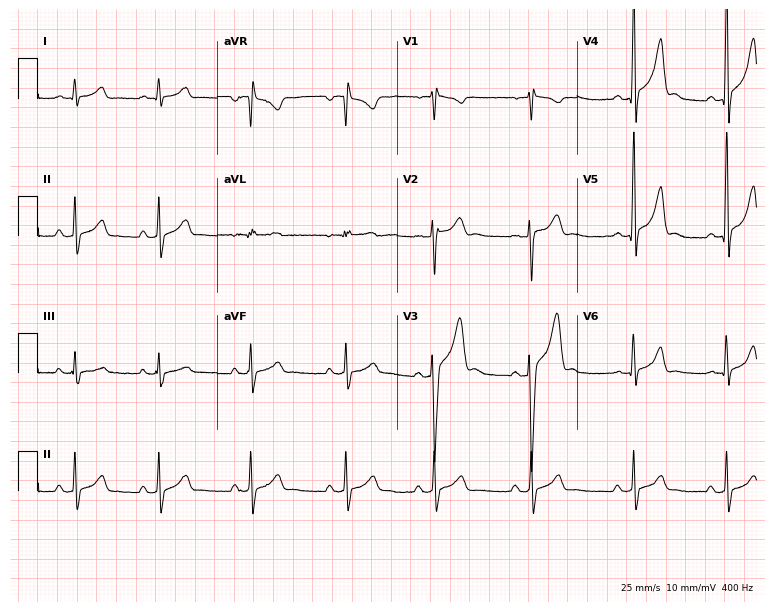
ECG — a 19-year-old male. Screened for six findings — first-degree AV block, right bundle branch block, left bundle branch block, sinus bradycardia, atrial fibrillation, sinus tachycardia — none is recorded.